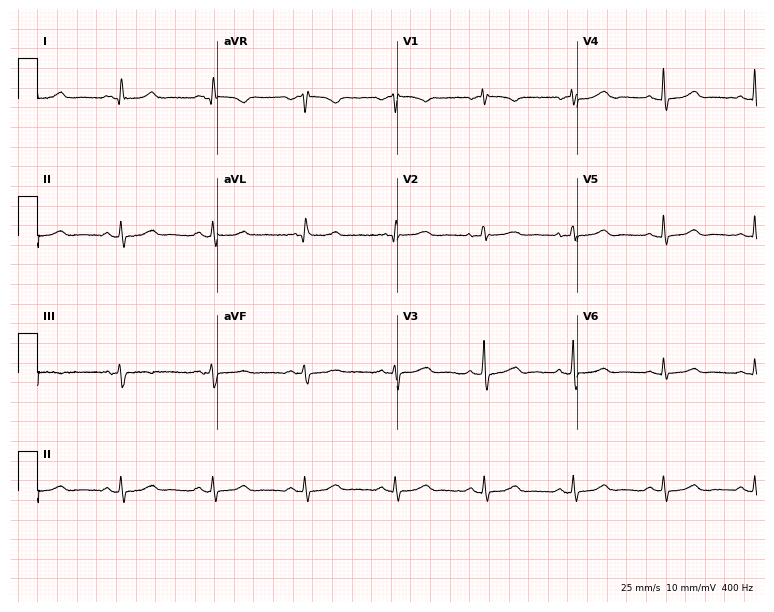
Resting 12-lead electrocardiogram. Patient: a 68-year-old female. None of these six findings is recorded: first-degree AV block, right bundle branch block (RBBB), left bundle branch block (LBBB), sinus bradycardia, atrial fibrillation (AF), sinus tachycardia.